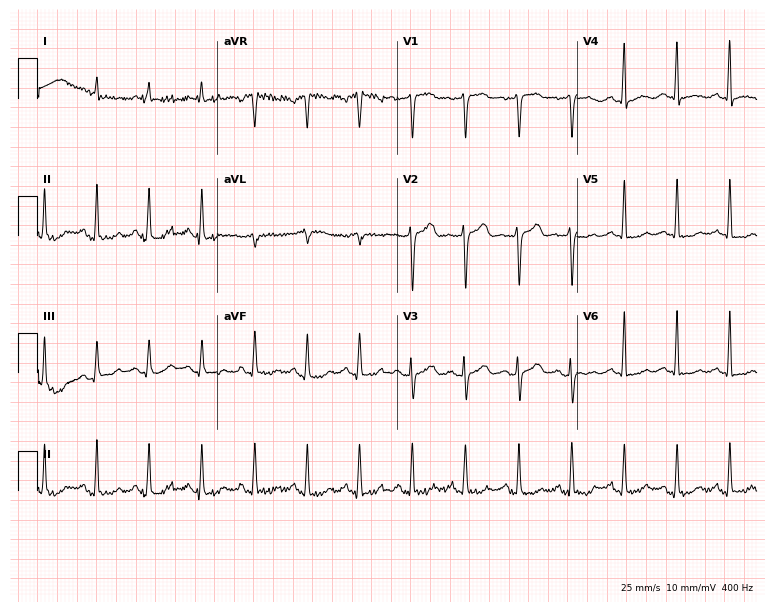
12-lead ECG from a male, 60 years old. Screened for six findings — first-degree AV block, right bundle branch block, left bundle branch block, sinus bradycardia, atrial fibrillation, sinus tachycardia — none is recorded. Other findings, if any, are not listed.